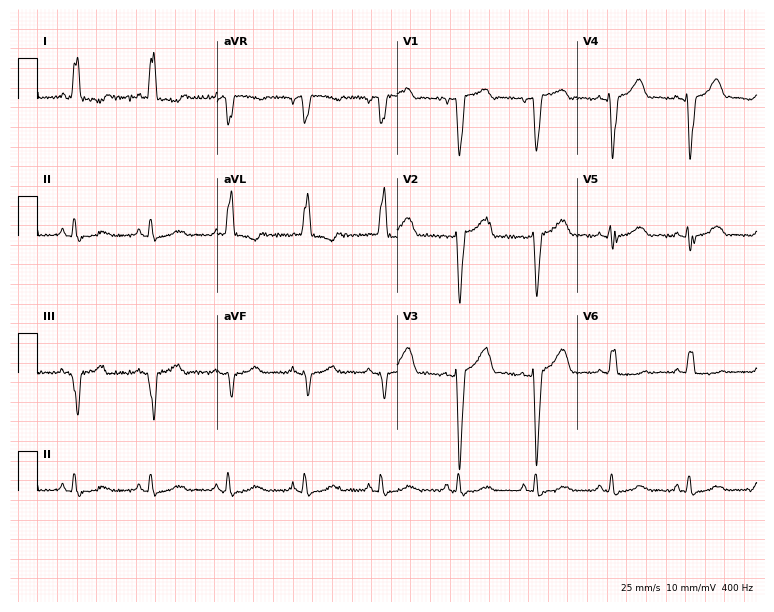
Electrocardiogram, a woman, 76 years old. Of the six screened findings (first-degree AV block, right bundle branch block (RBBB), left bundle branch block (LBBB), sinus bradycardia, atrial fibrillation (AF), sinus tachycardia), none is recorded. Findings outside these six are not listed.